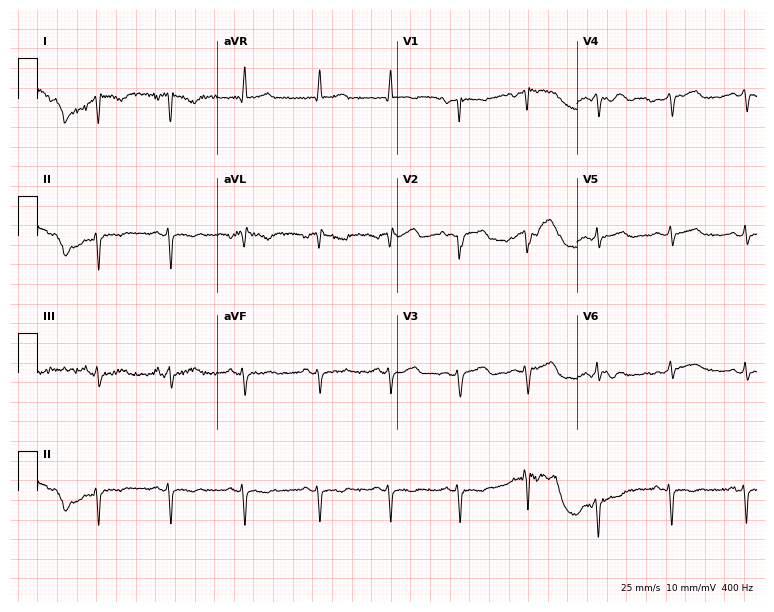
Standard 12-lead ECG recorded from a 37-year-old female patient. None of these six findings is recorded: first-degree AV block, right bundle branch block, left bundle branch block, sinus bradycardia, atrial fibrillation, sinus tachycardia.